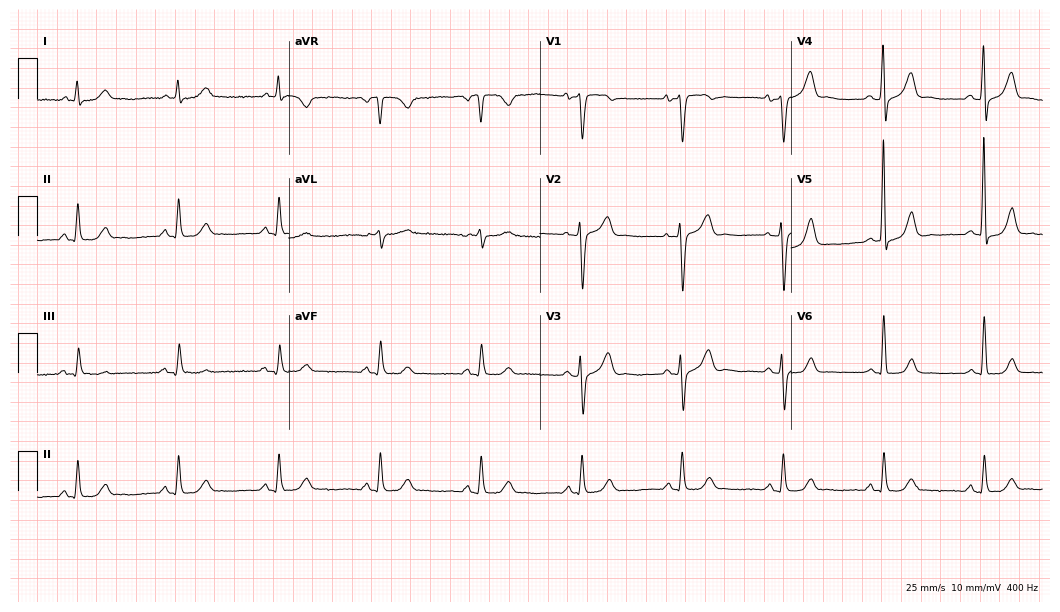
12-lead ECG from a male, 76 years old. Recorded interpretation: within normal limits.